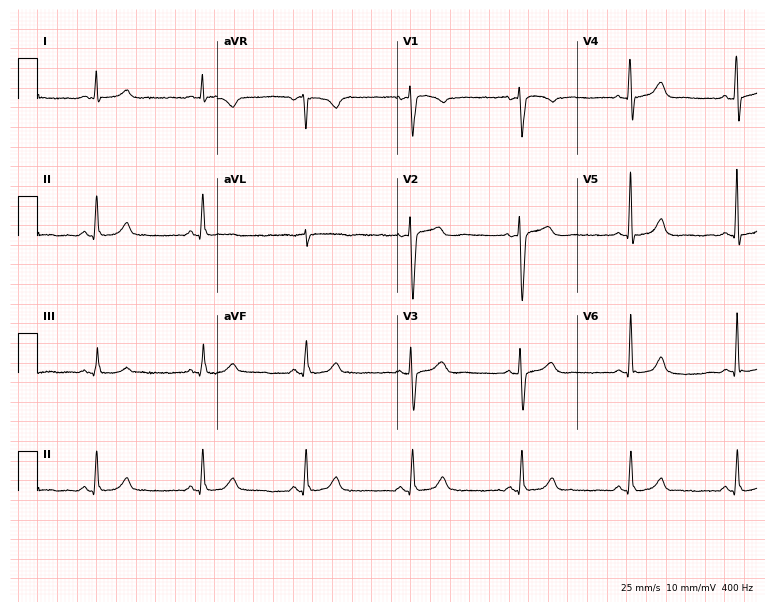
Electrocardiogram, a male, 45 years old. Overall reading on record: normal ECG.